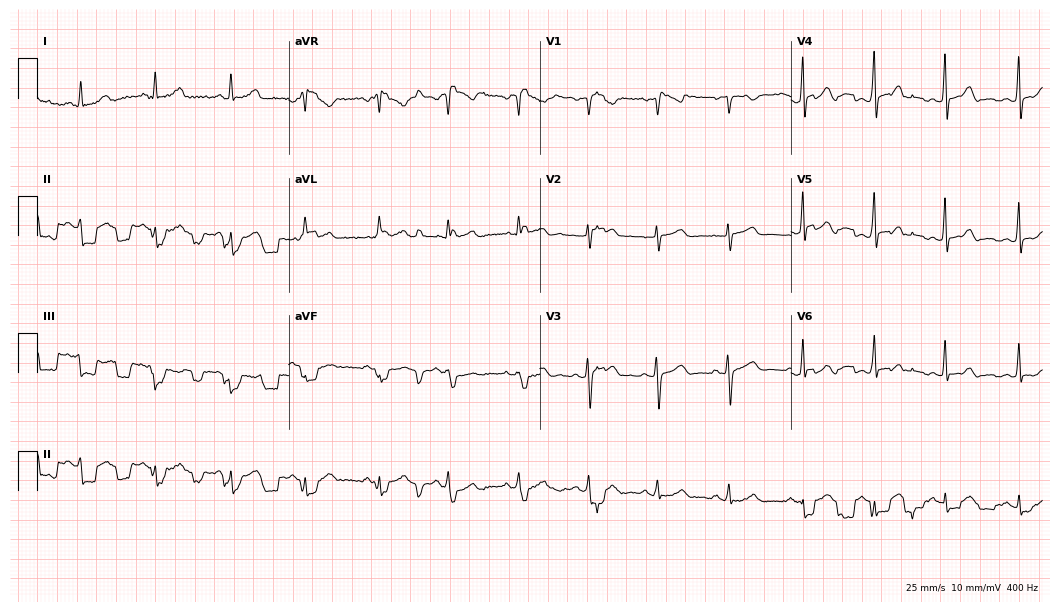
Resting 12-lead electrocardiogram. Patient: a woman, 45 years old. None of these six findings is recorded: first-degree AV block, right bundle branch block, left bundle branch block, sinus bradycardia, atrial fibrillation, sinus tachycardia. Findings outside these six are not listed.